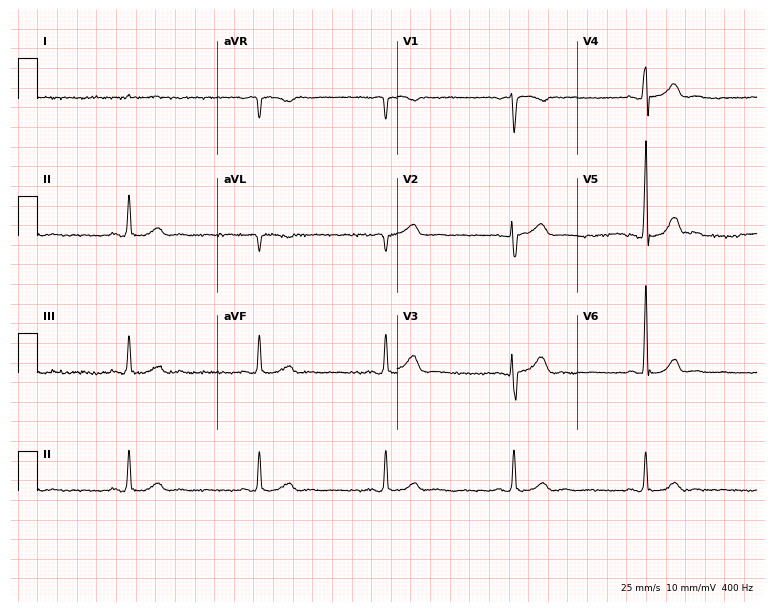
12-lead ECG from a woman, 49 years old (7.3-second recording at 400 Hz). Shows sinus bradycardia (a sinus rate of 50 beats per minute or less).